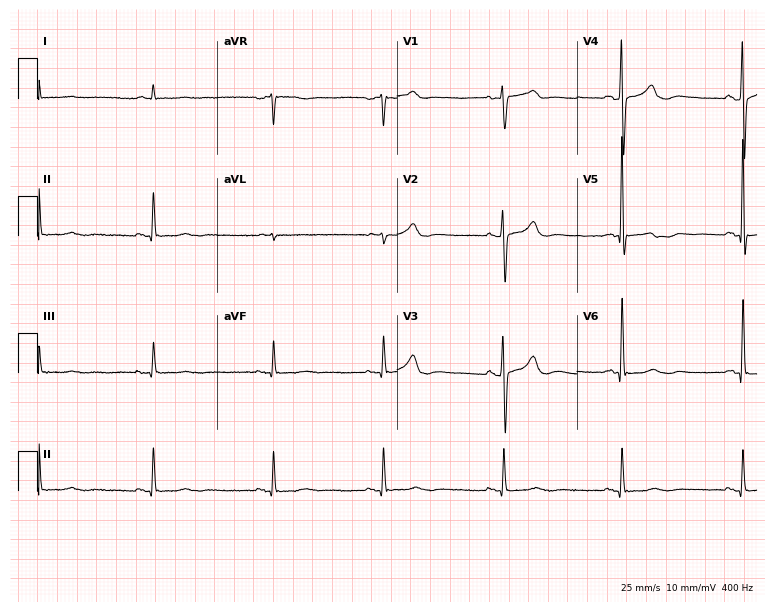
12-lead ECG from an 84-year-old male. Screened for six findings — first-degree AV block, right bundle branch block, left bundle branch block, sinus bradycardia, atrial fibrillation, sinus tachycardia — none is recorded.